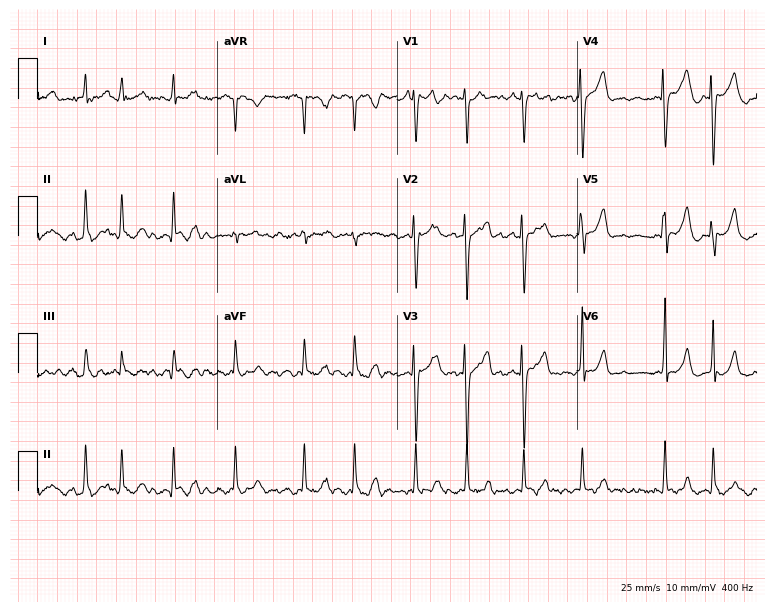
12-lead ECG from a 52-year-old woman. Screened for six findings — first-degree AV block, right bundle branch block, left bundle branch block, sinus bradycardia, atrial fibrillation, sinus tachycardia — none is recorded. Only these six findings were labelled.